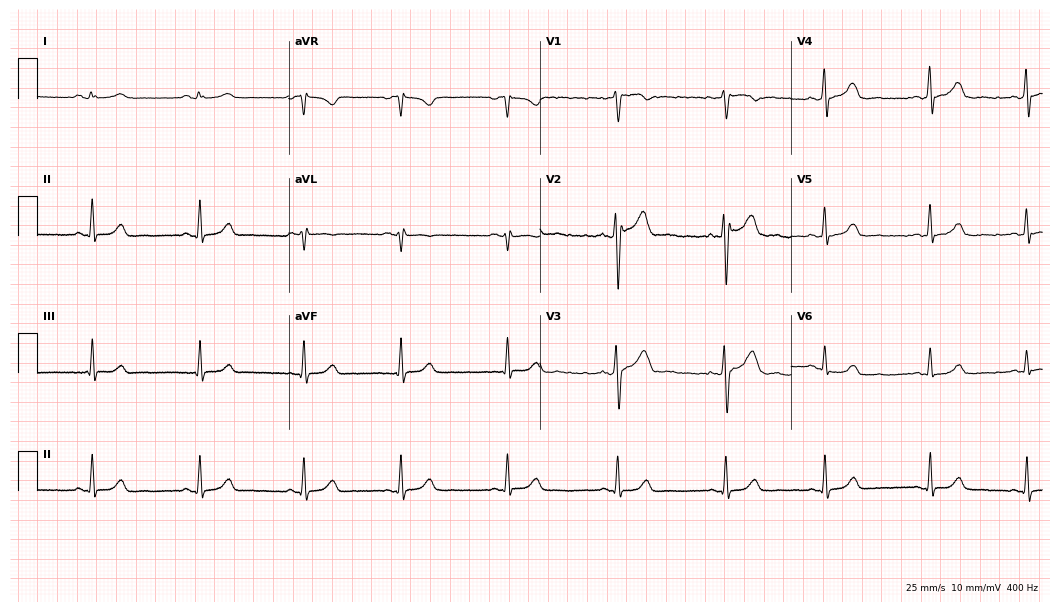
12-lead ECG from a woman, 39 years old (10.2-second recording at 400 Hz). No first-degree AV block, right bundle branch block, left bundle branch block, sinus bradycardia, atrial fibrillation or sinus tachycardia recorded for this tracing. Findings outside these six are not listed.